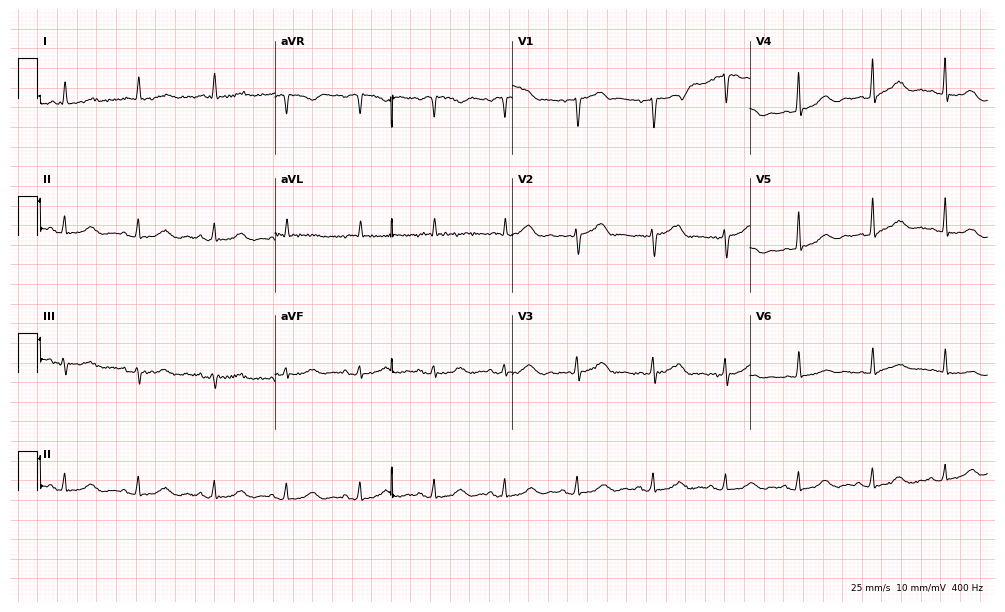
Electrocardiogram (9.7-second recording at 400 Hz), a woman, 69 years old. Overall reading on record: normal ECG.